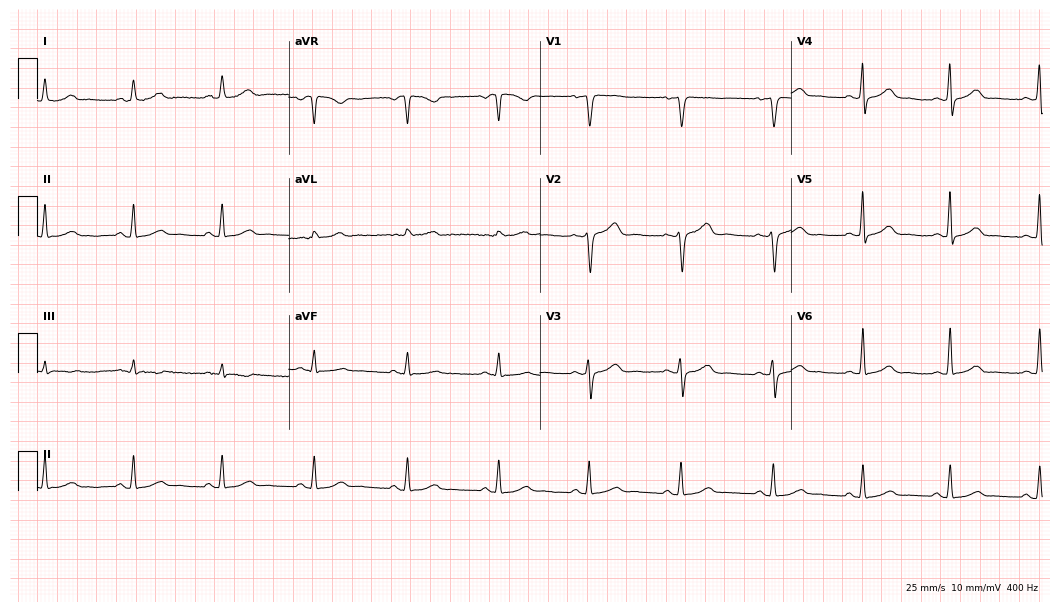
Standard 12-lead ECG recorded from a woman, 48 years old (10.2-second recording at 400 Hz). Read as a normal ECG.